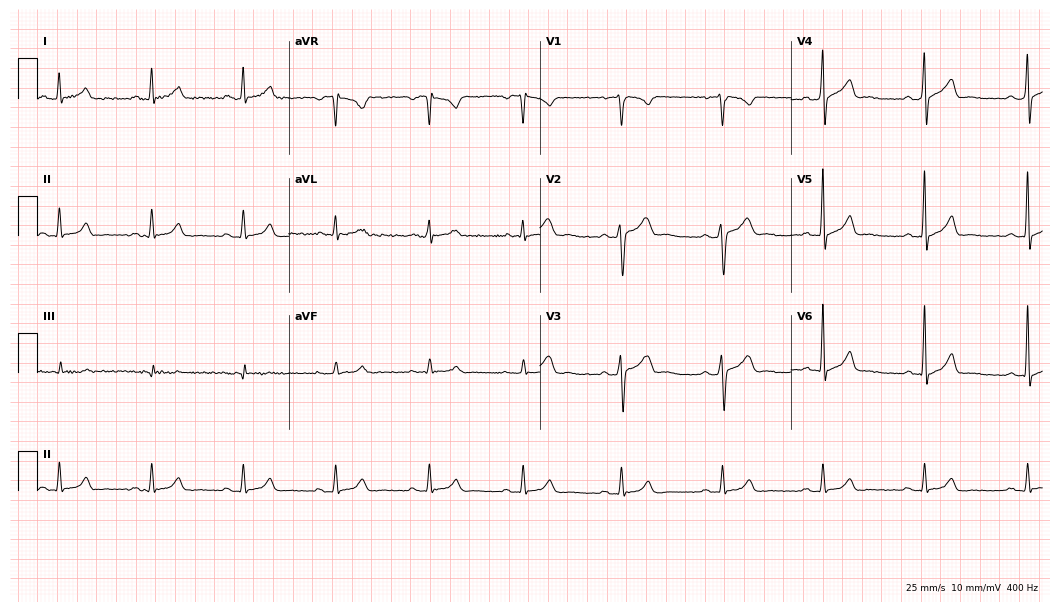
ECG — a male patient, 38 years old. Labelled as a normal ECG.